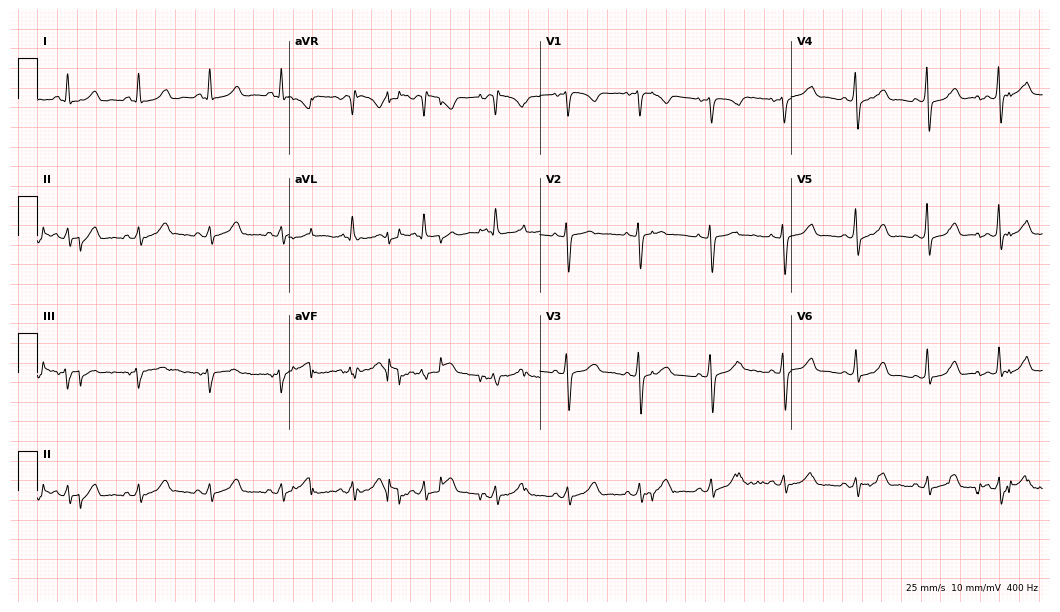
12-lead ECG from a female, 55 years old. Recorded interpretation: within normal limits.